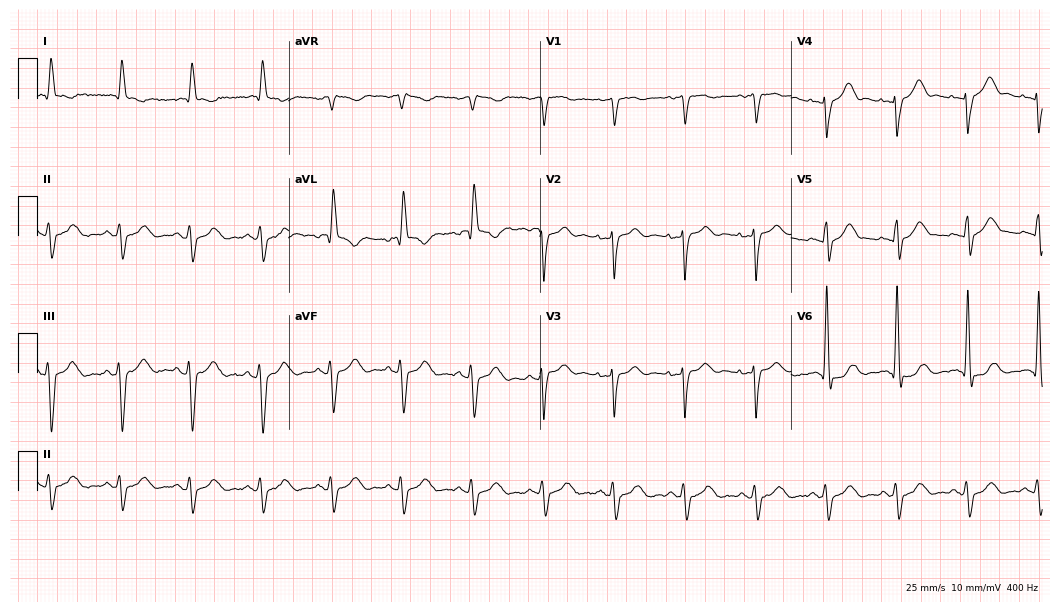
Resting 12-lead electrocardiogram. Patient: a female, 76 years old. None of these six findings is recorded: first-degree AV block, right bundle branch block, left bundle branch block, sinus bradycardia, atrial fibrillation, sinus tachycardia.